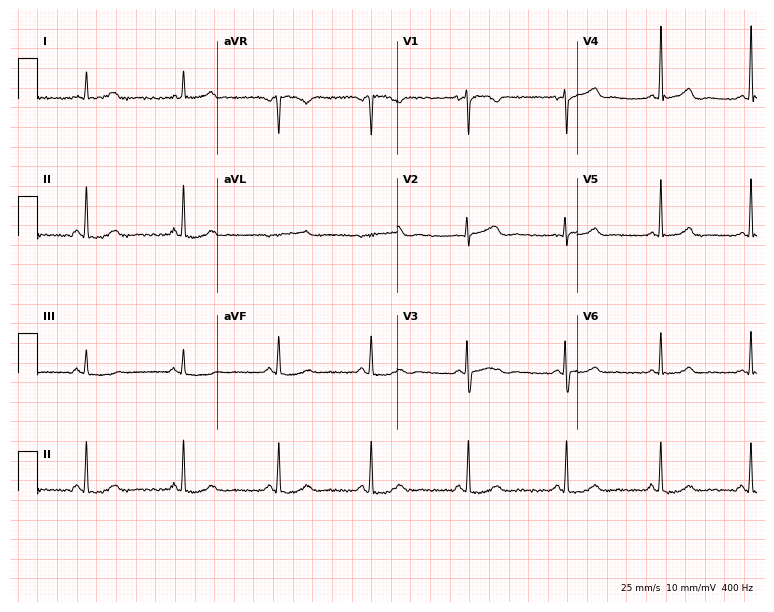
Standard 12-lead ECG recorded from a 30-year-old woman (7.3-second recording at 400 Hz). None of these six findings is recorded: first-degree AV block, right bundle branch block (RBBB), left bundle branch block (LBBB), sinus bradycardia, atrial fibrillation (AF), sinus tachycardia. Only these six findings were labelled.